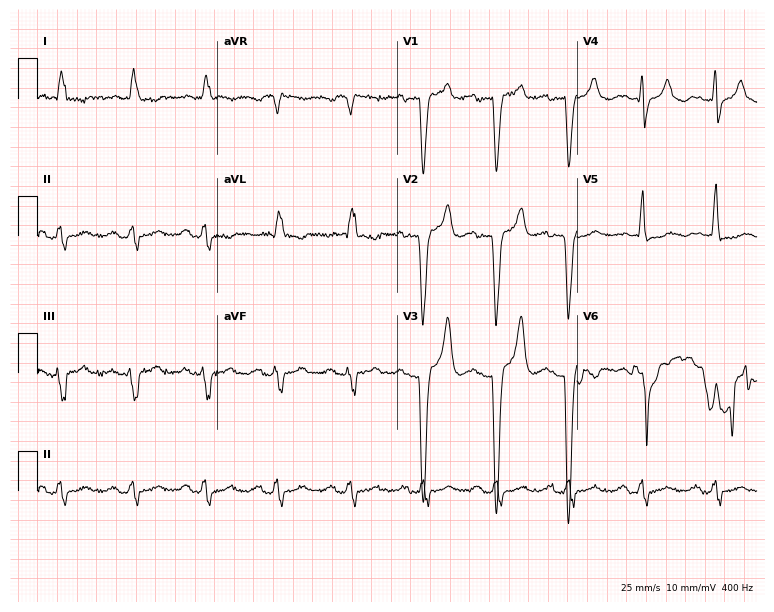
Standard 12-lead ECG recorded from a female patient, 73 years old. None of these six findings is recorded: first-degree AV block, right bundle branch block, left bundle branch block, sinus bradycardia, atrial fibrillation, sinus tachycardia. Other findings, if any, are not listed.